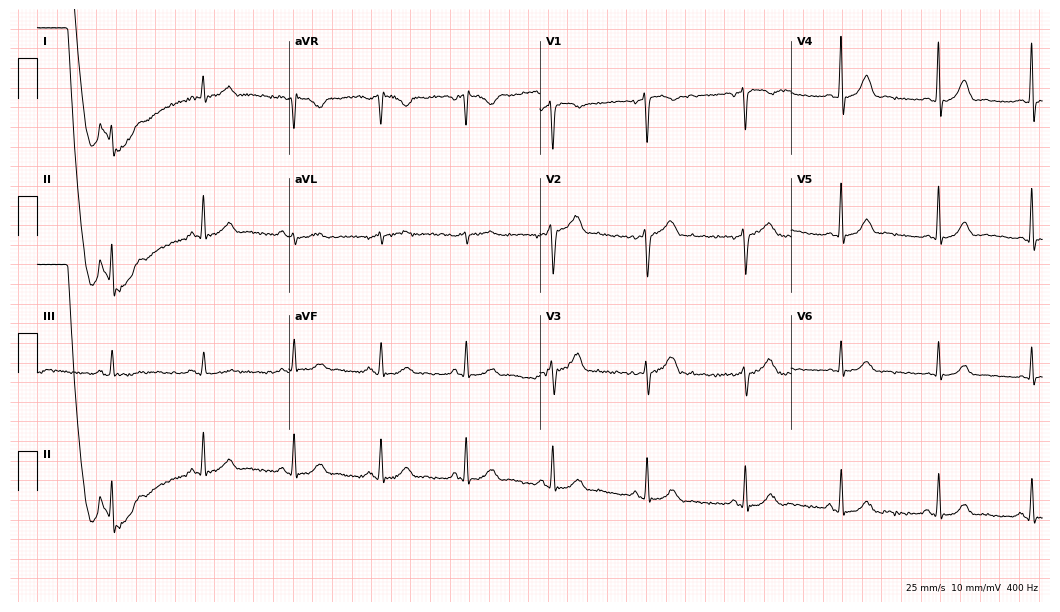
12-lead ECG from a male, 51 years old. Recorded interpretation: within normal limits.